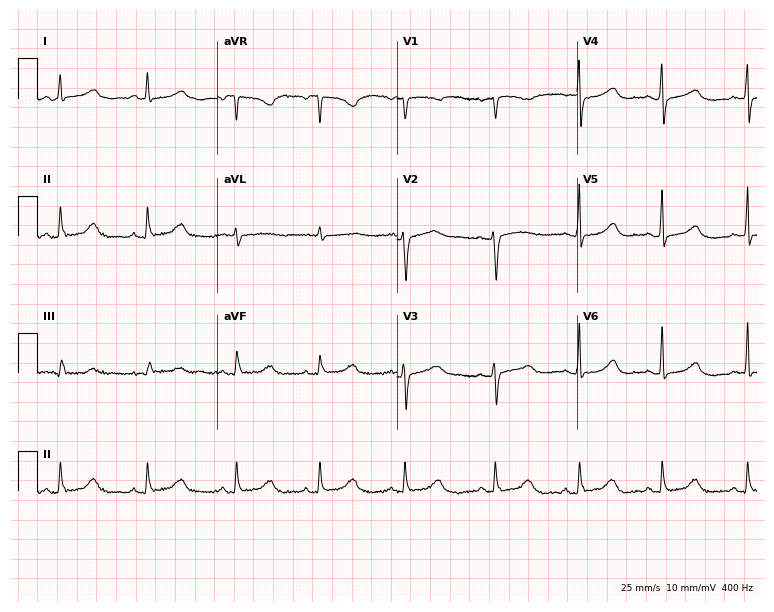
Resting 12-lead electrocardiogram. Patient: a 38-year-old woman. Read as a normal ECG.